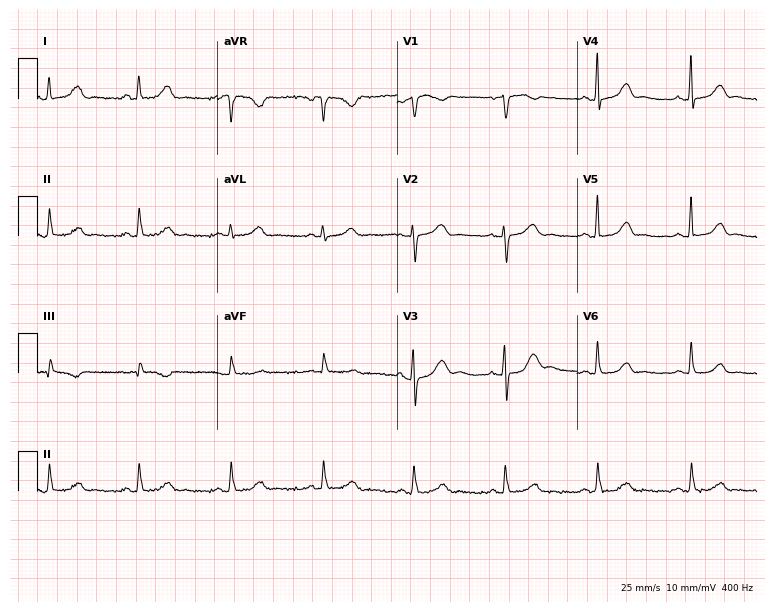
Electrocardiogram, a 53-year-old female. Overall reading on record: normal ECG.